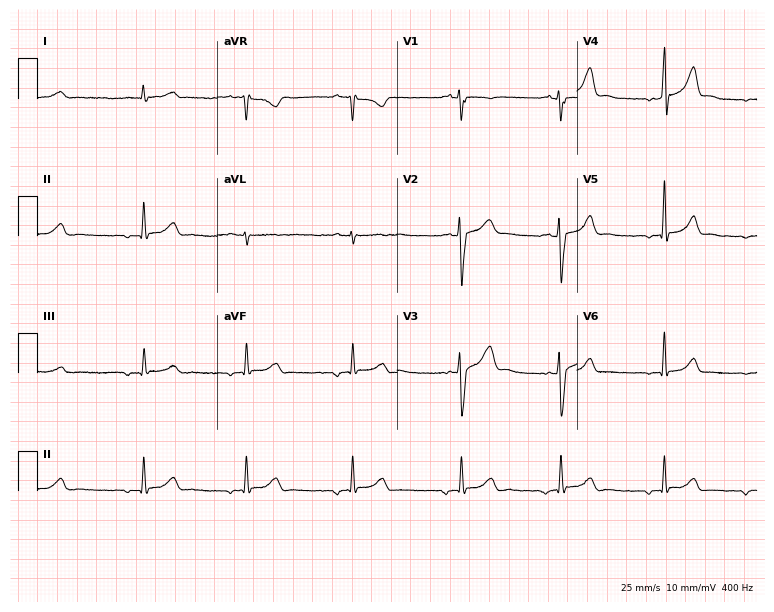
Resting 12-lead electrocardiogram. Patient: a 24-year-old male. None of these six findings is recorded: first-degree AV block, right bundle branch block, left bundle branch block, sinus bradycardia, atrial fibrillation, sinus tachycardia.